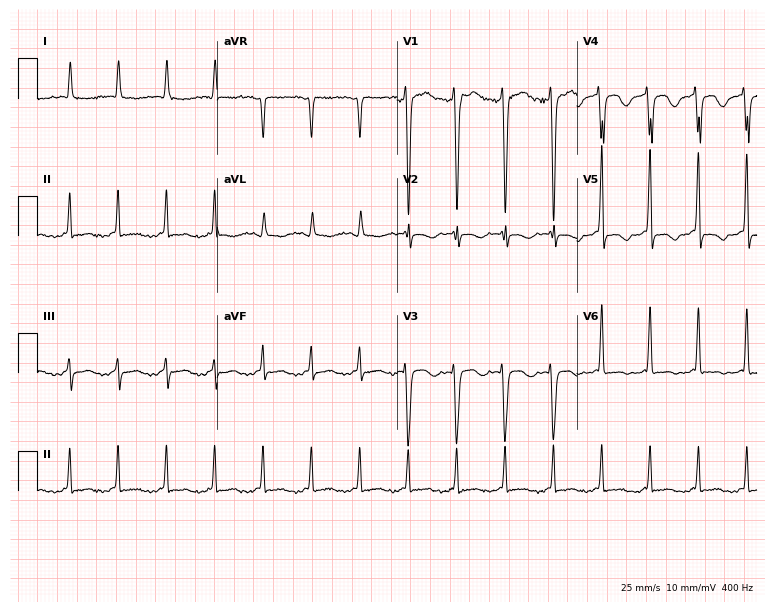
Resting 12-lead electrocardiogram. Patient: a woman, 41 years old. The tracing shows sinus tachycardia (a sinus rate of 100 beats per minute or more).